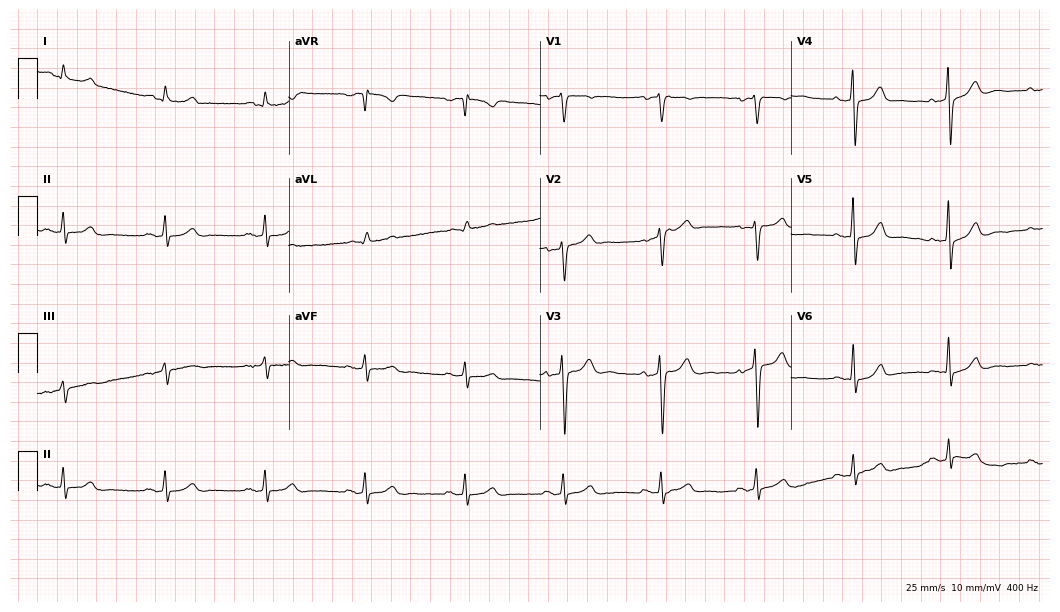
ECG (10.2-second recording at 400 Hz) — a man, 47 years old. Screened for six findings — first-degree AV block, right bundle branch block, left bundle branch block, sinus bradycardia, atrial fibrillation, sinus tachycardia — none is recorded.